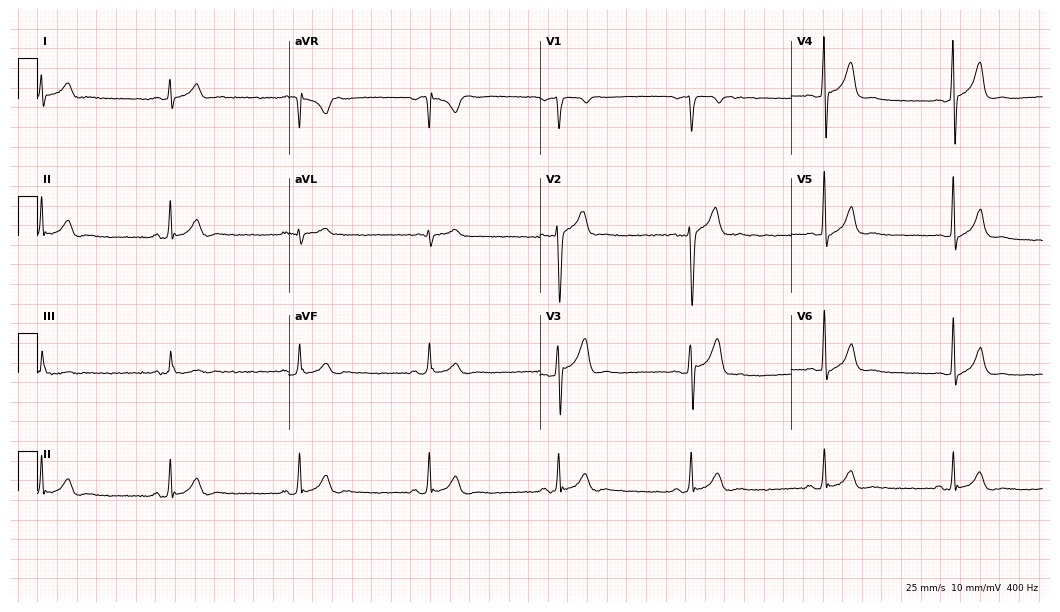
12-lead ECG from a 34-year-old man. Labelled as a normal ECG.